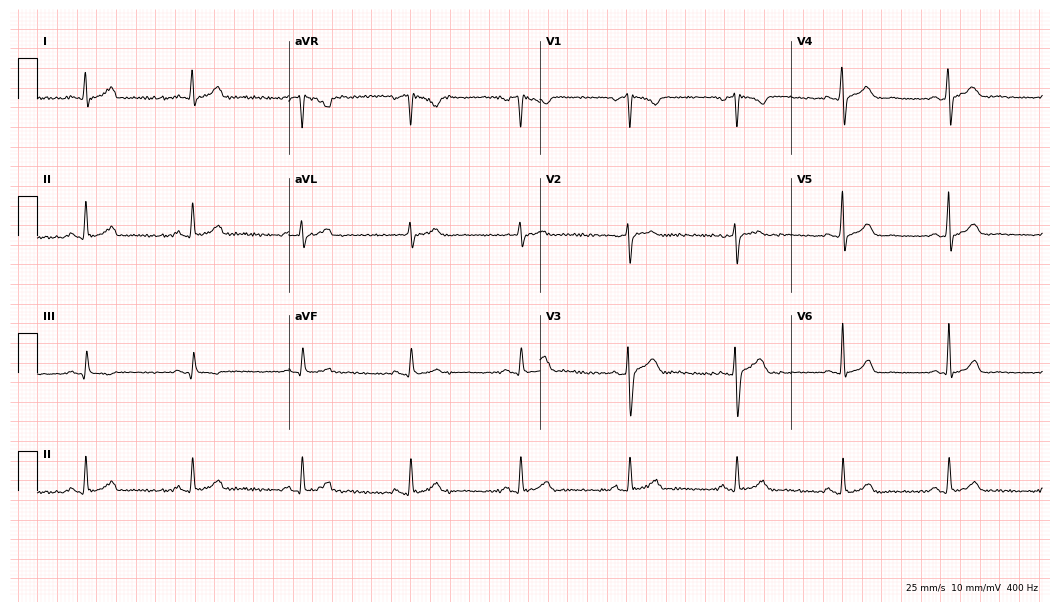
12-lead ECG from a 50-year-old male (10.2-second recording at 400 Hz). Recorded interpretation: within normal limits.